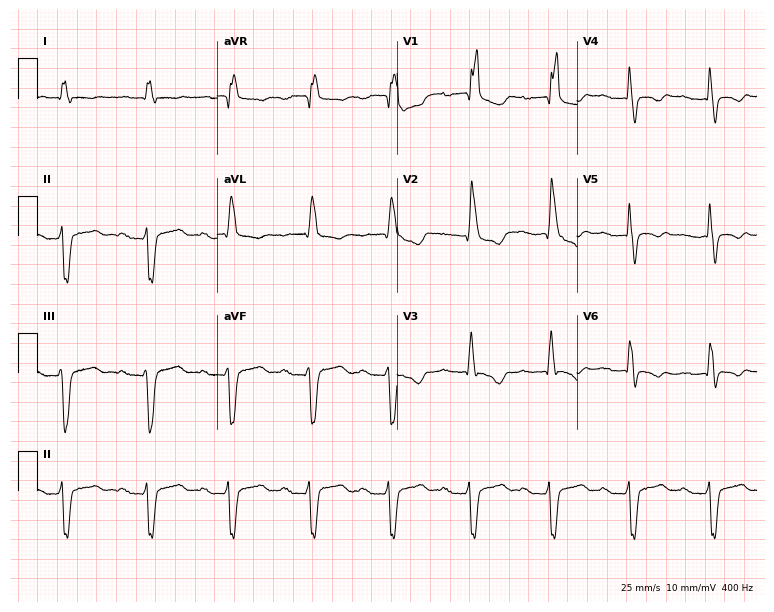
Standard 12-lead ECG recorded from an 84-year-old male patient (7.3-second recording at 400 Hz). The tracing shows first-degree AV block, right bundle branch block.